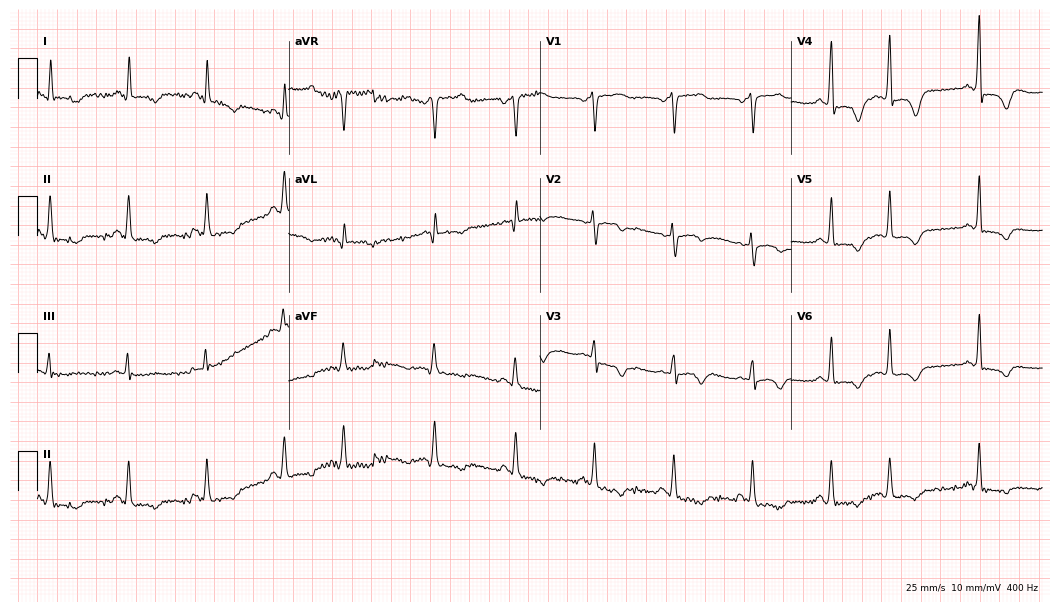
Standard 12-lead ECG recorded from a 76-year-old woman (10.2-second recording at 400 Hz). None of these six findings is recorded: first-degree AV block, right bundle branch block, left bundle branch block, sinus bradycardia, atrial fibrillation, sinus tachycardia. Only these six findings were labelled.